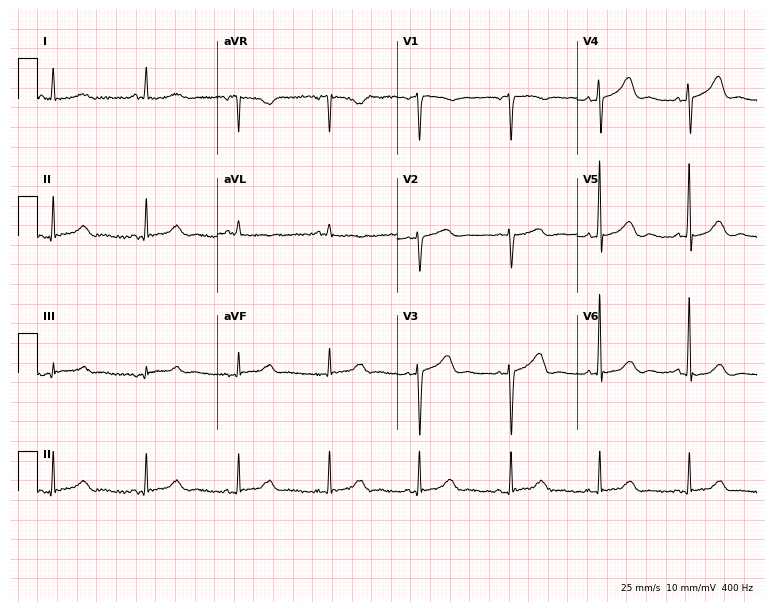
ECG (7.3-second recording at 400 Hz) — a female, 84 years old. Labelled as a normal ECG.